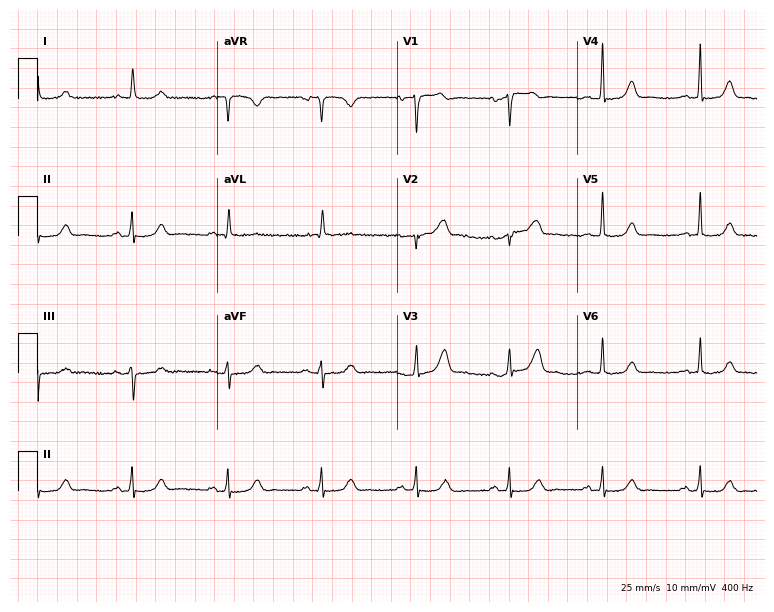
Electrocardiogram, a female patient, 83 years old. Overall reading on record: normal ECG.